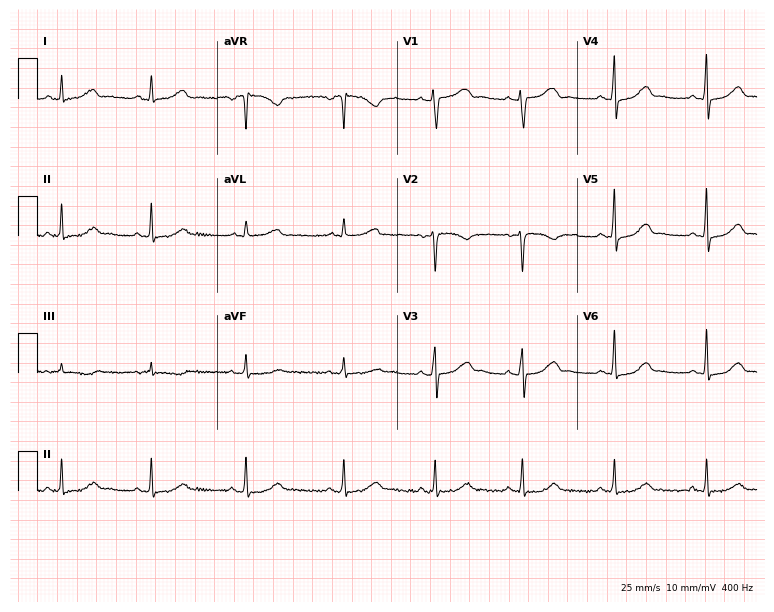
Electrocardiogram, a female, 34 years old. Of the six screened findings (first-degree AV block, right bundle branch block, left bundle branch block, sinus bradycardia, atrial fibrillation, sinus tachycardia), none is recorded.